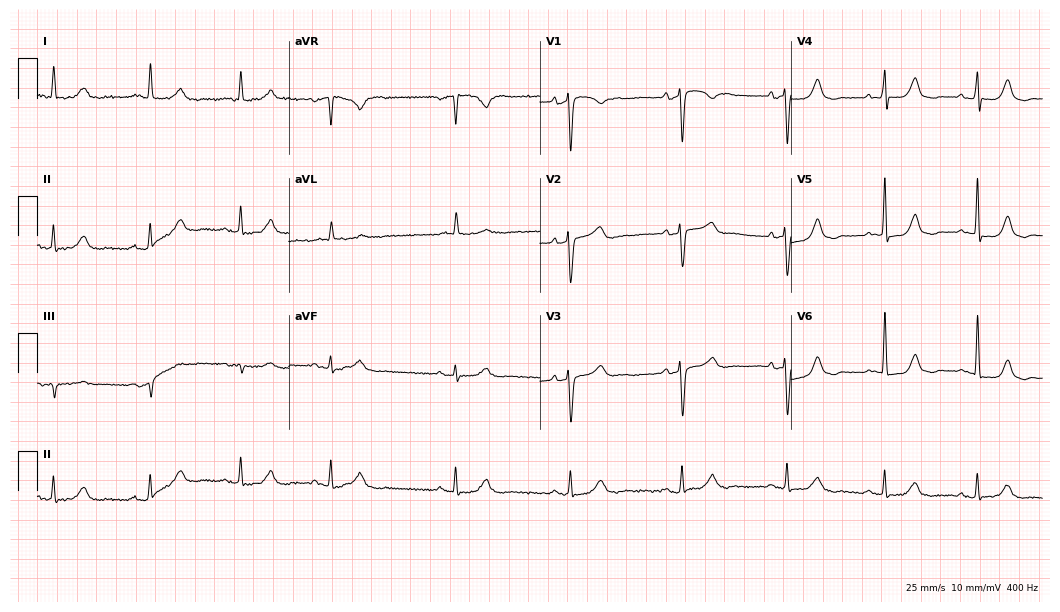
12-lead ECG (10.2-second recording at 400 Hz) from an 83-year-old female. Labelled as a normal ECG.